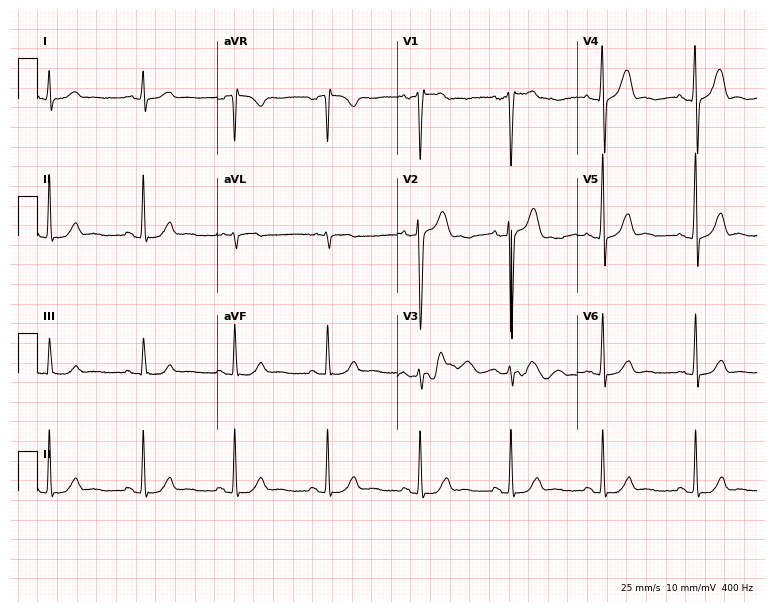
Resting 12-lead electrocardiogram (7.3-second recording at 400 Hz). Patient: a 49-year-old male. Read as a normal ECG.